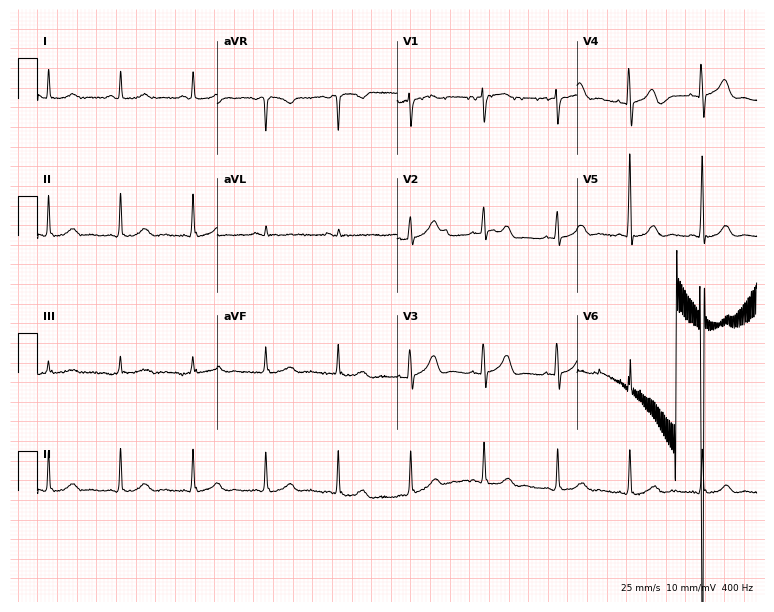
Electrocardiogram (7.3-second recording at 400 Hz), an 85-year-old female patient. Overall reading on record: normal ECG.